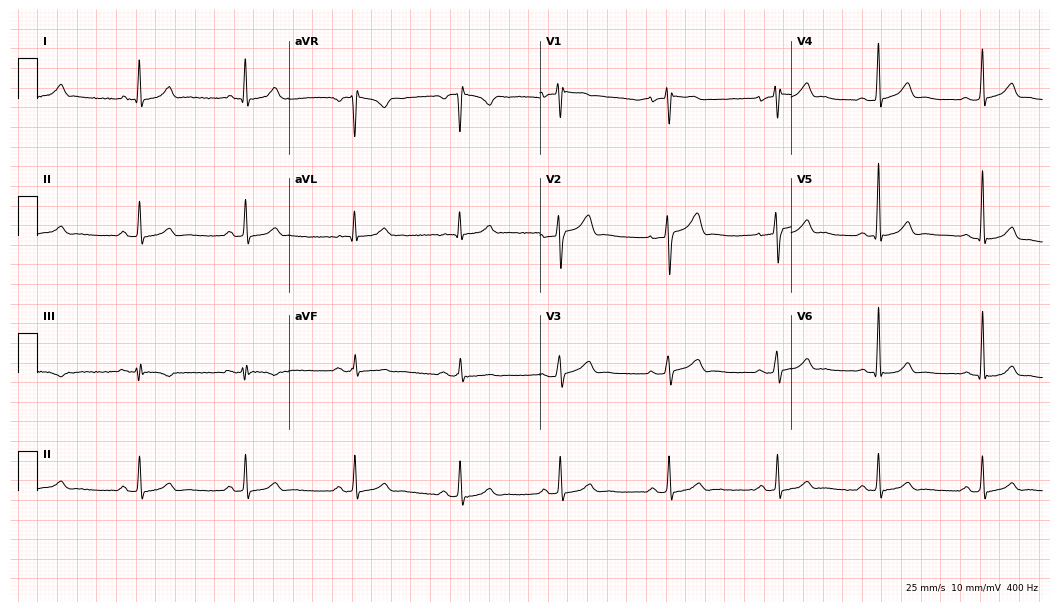
12-lead ECG from a 25-year-old male patient. Labelled as a normal ECG.